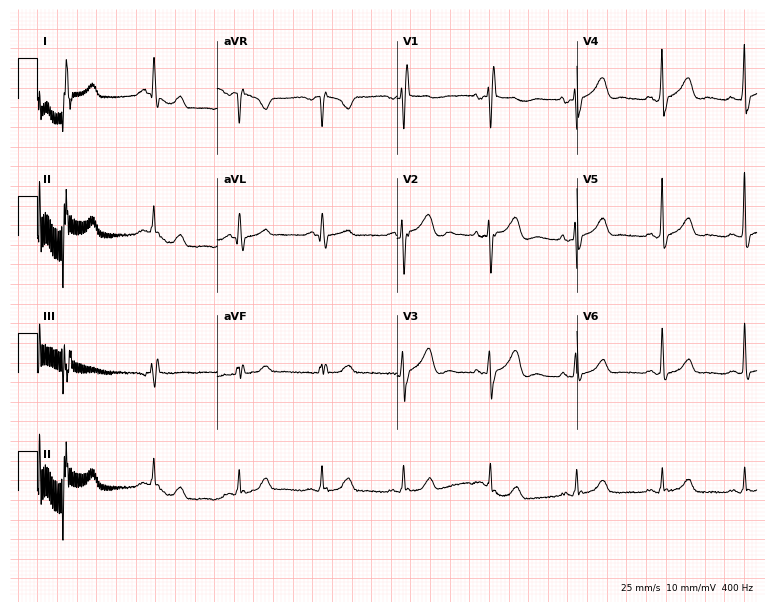
ECG — a 70-year-old woman. Screened for six findings — first-degree AV block, right bundle branch block (RBBB), left bundle branch block (LBBB), sinus bradycardia, atrial fibrillation (AF), sinus tachycardia — none is recorded.